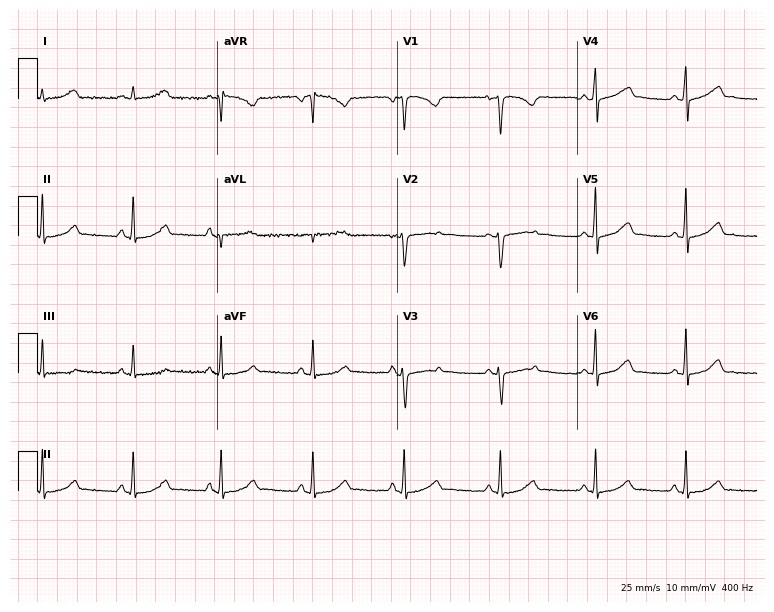
ECG (7.3-second recording at 400 Hz) — a 21-year-old woman. Screened for six findings — first-degree AV block, right bundle branch block (RBBB), left bundle branch block (LBBB), sinus bradycardia, atrial fibrillation (AF), sinus tachycardia — none is recorded.